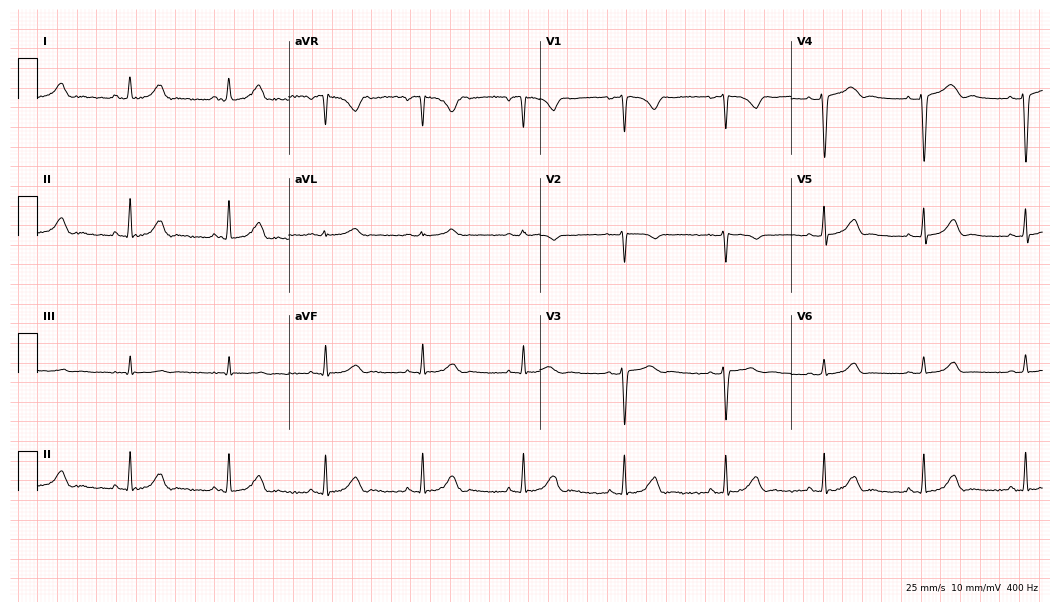
Standard 12-lead ECG recorded from a 29-year-old woman. Read as a normal ECG.